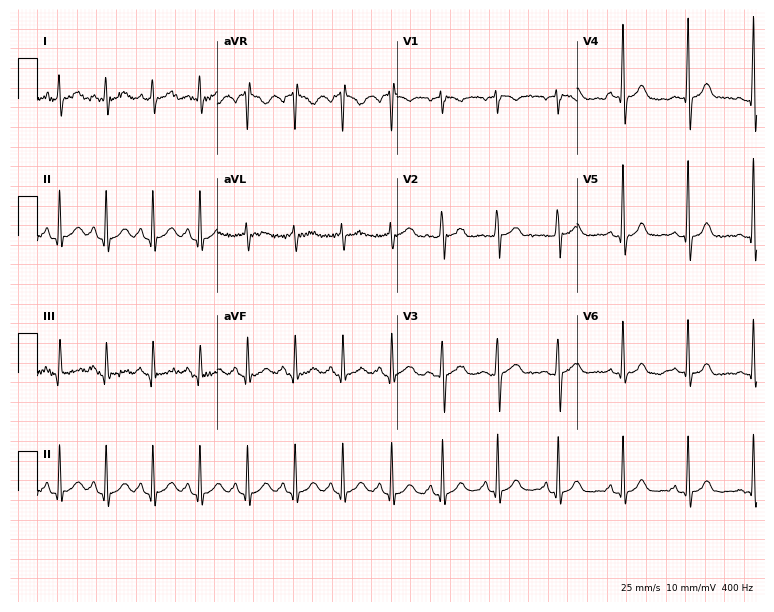
12-lead ECG from a female, 49 years old. Shows sinus tachycardia (a sinus rate of 100 beats per minute or more).